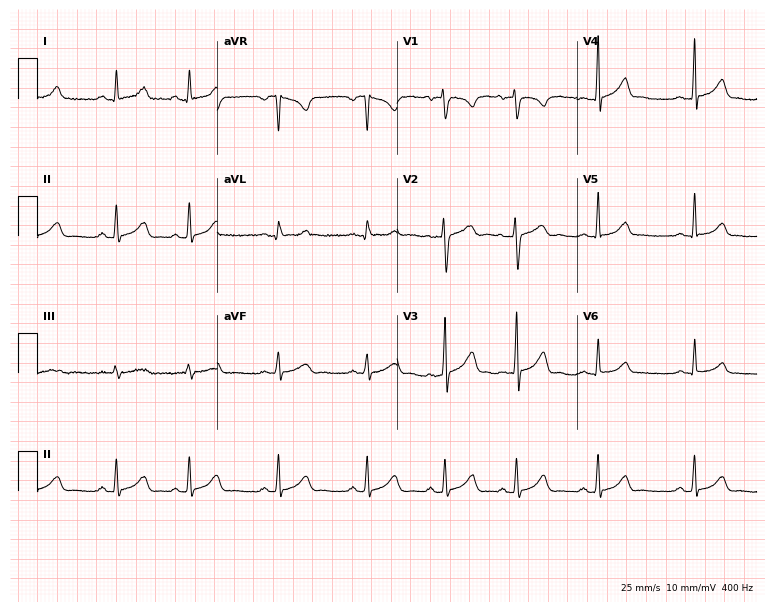
Standard 12-lead ECG recorded from a 21-year-old female patient (7.3-second recording at 400 Hz). None of these six findings is recorded: first-degree AV block, right bundle branch block (RBBB), left bundle branch block (LBBB), sinus bradycardia, atrial fibrillation (AF), sinus tachycardia.